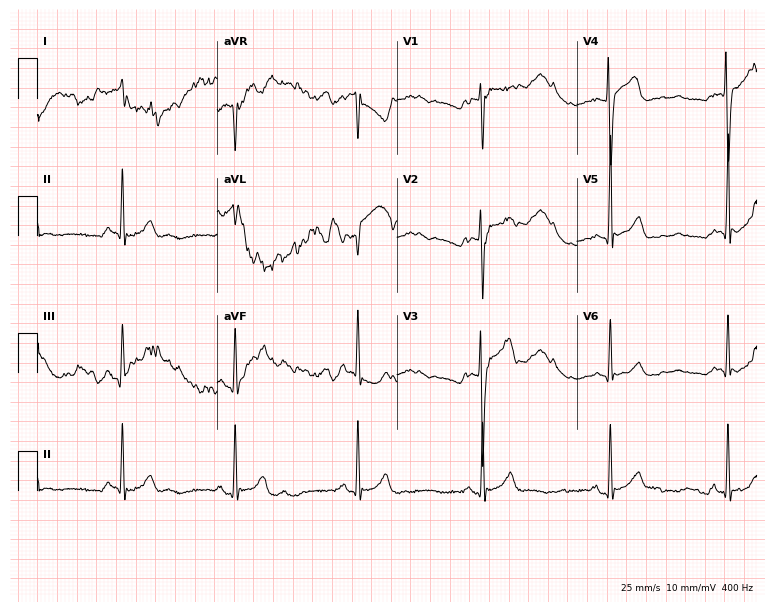
12-lead ECG from a man, 18 years old. Recorded interpretation: within normal limits.